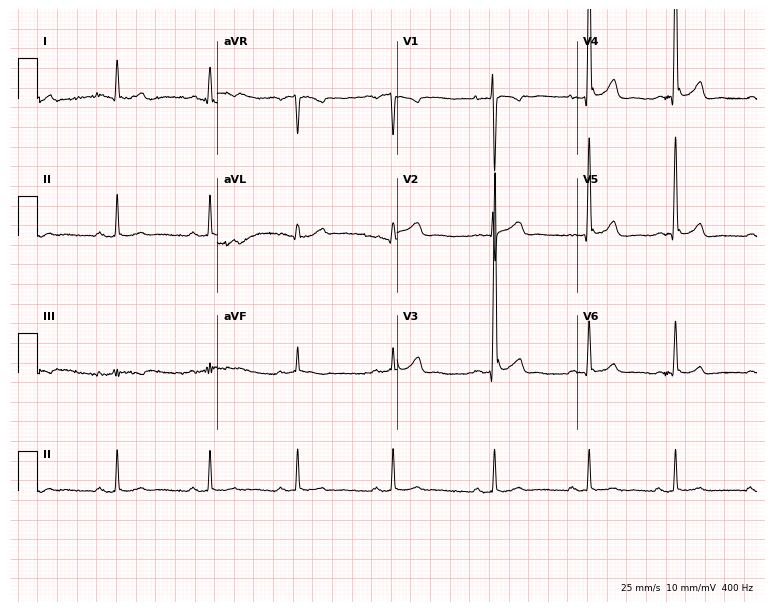
12-lead ECG from a 39-year-old man. Recorded interpretation: within normal limits.